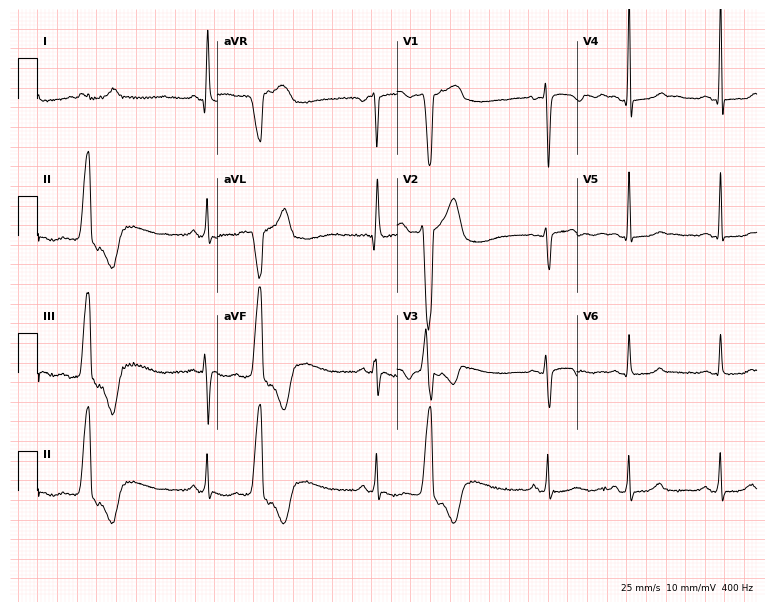
ECG — a woman, 46 years old. Screened for six findings — first-degree AV block, right bundle branch block (RBBB), left bundle branch block (LBBB), sinus bradycardia, atrial fibrillation (AF), sinus tachycardia — none is recorded.